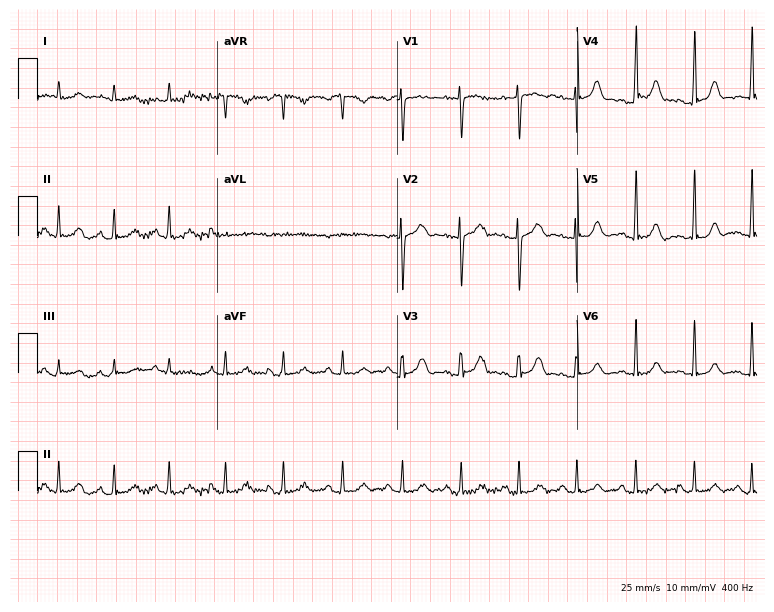
12-lead ECG (7.3-second recording at 400 Hz) from a 32-year-old female patient. Findings include sinus tachycardia (a sinus rate of 100 beats per minute or more).